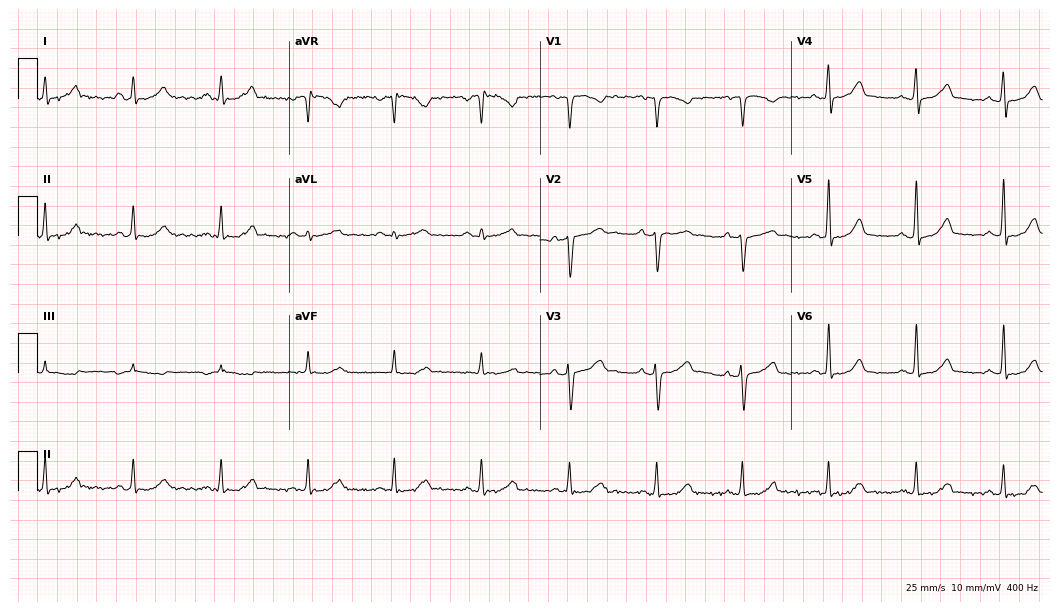
12-lead ECG (10.2-second recording at 400 Hz) from a man, 47 years old. Labelled as a normal ECG.